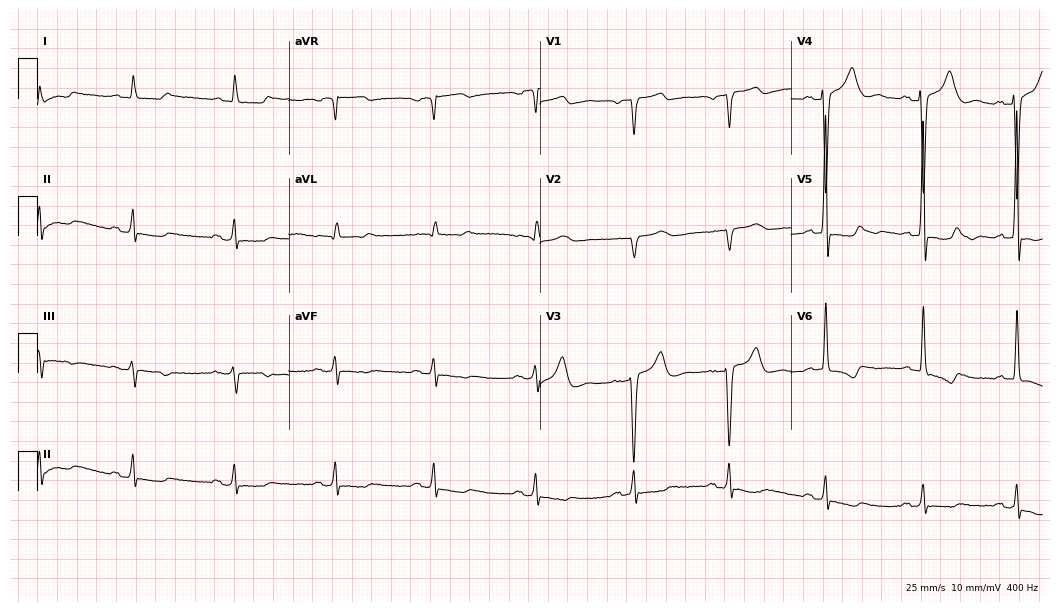
Electrocardiogram (10.2-second recording at 400 Hz), a male, 74 years old. Of the six screened findings (first-degree AV block, right bundle branch block (RBBB), left bundle branch block (LBBB), sinus bradycardia, atrial fibrillation (AF), sinus tachycardia), none is recorded. Other findings, if any, are not listed.